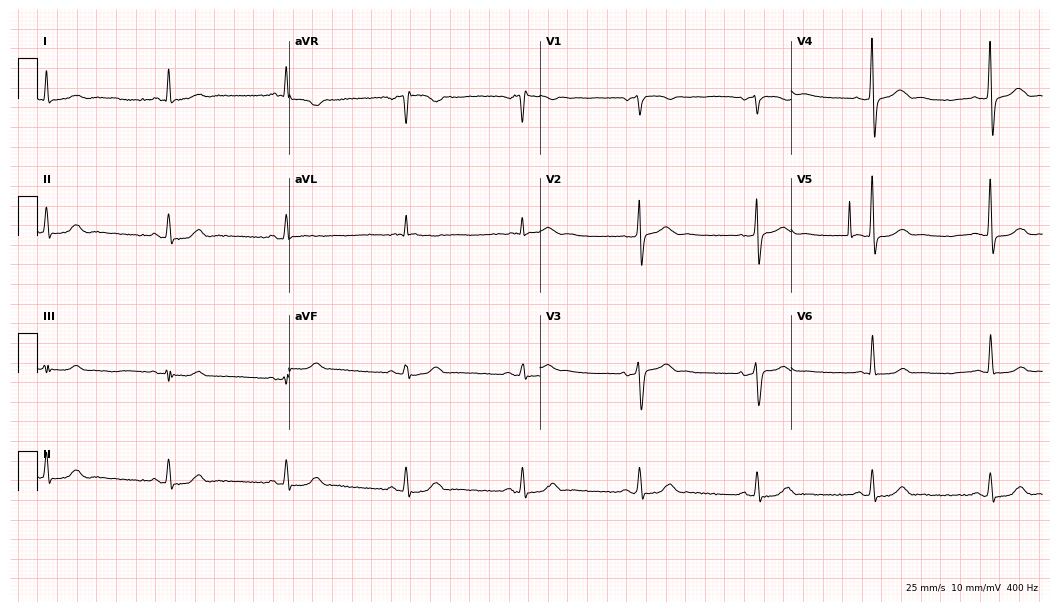
Electrocardiogram, a male patient, 69 years old. Interpretation includes sinus bradycardia (a sinus rate of 50 beats per minute or less).